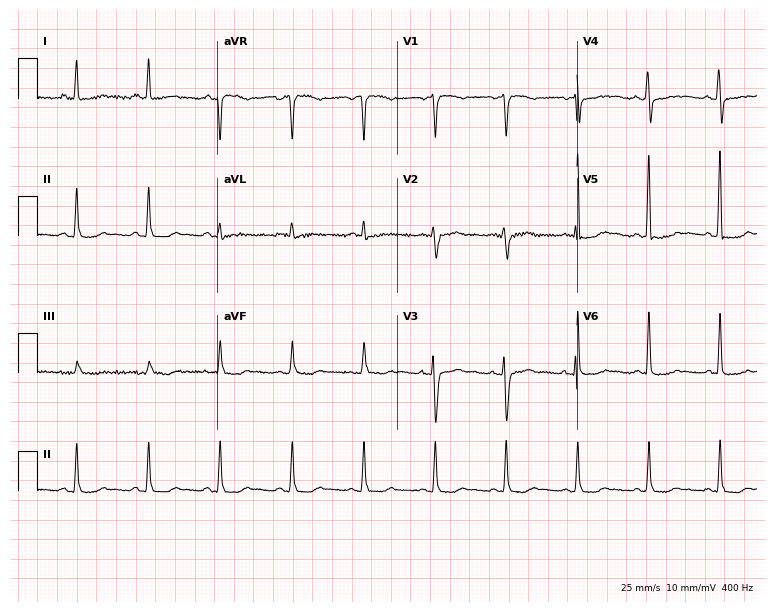
Electrocardiogram, a female, 66 years old. Of the six screened findings (first-degree AV block, right bundle branch block, left bundle branch block, sinus bradycardia, atrial fibrillation, sinus tachycardia), none is recorded. Other findings, if any, are not listed.